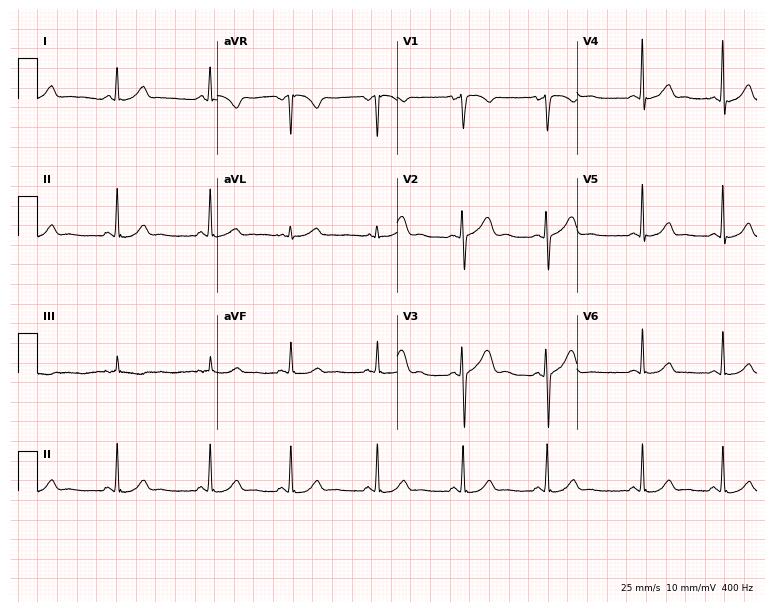
ECG — a 17-year-old woman. Labelled as a normal ECG.